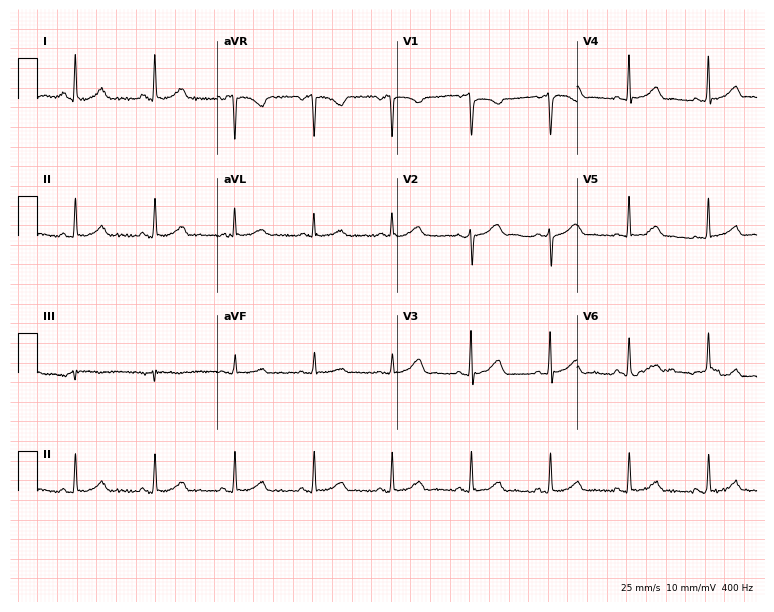
Resting 12-lead electrocardiogram. Patient: a female, 54 years old. Read as a normal ECG.